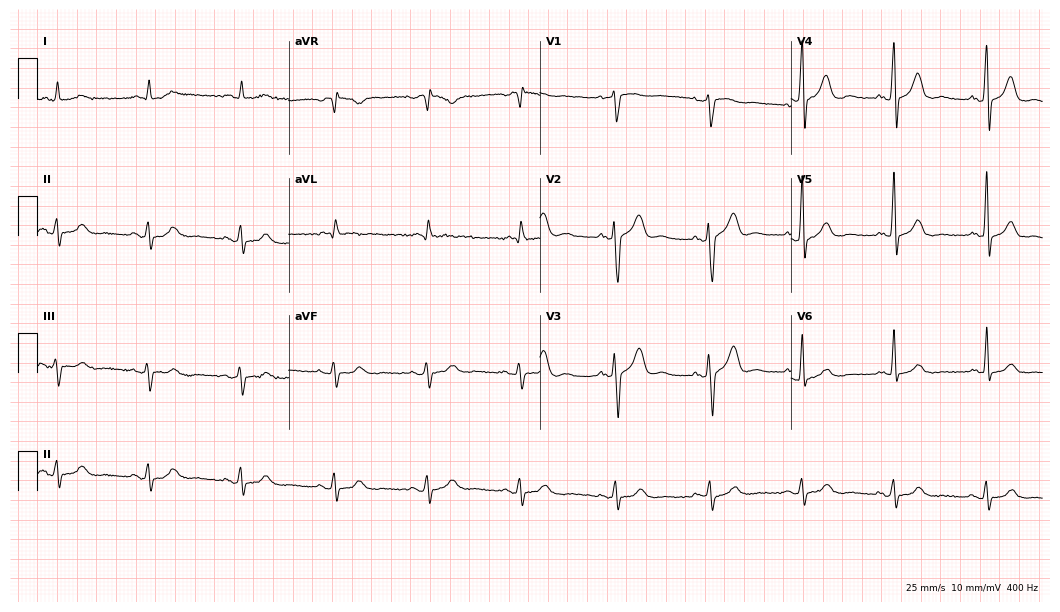
ECG — a 75-year-old man. Screened for six findings — first-degree AV block, right bundle branch block (RBBB), left bundle branch block (LBBB), sinus bradycardia, atrial fibrillation (AF), sinus tachycardia — none is recorded.